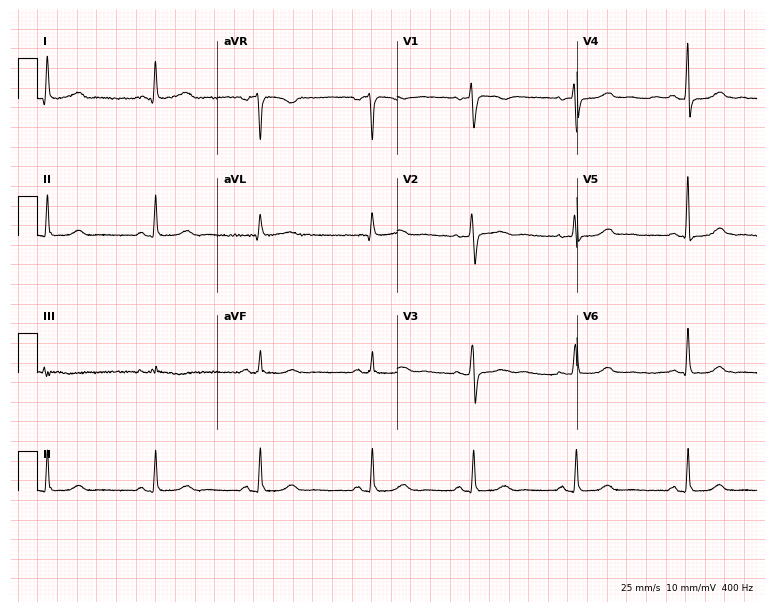
Electrocardiogram (7.3-second recording at 400 Hz), a female, 61 years old. Of the six screened findings (first-degree AV block, right bundle branch block, left bundle branch block, sinus bradycardia, atrial fibrillation, sinus tachycardia), none is recorded. Only these six findings were labelled.